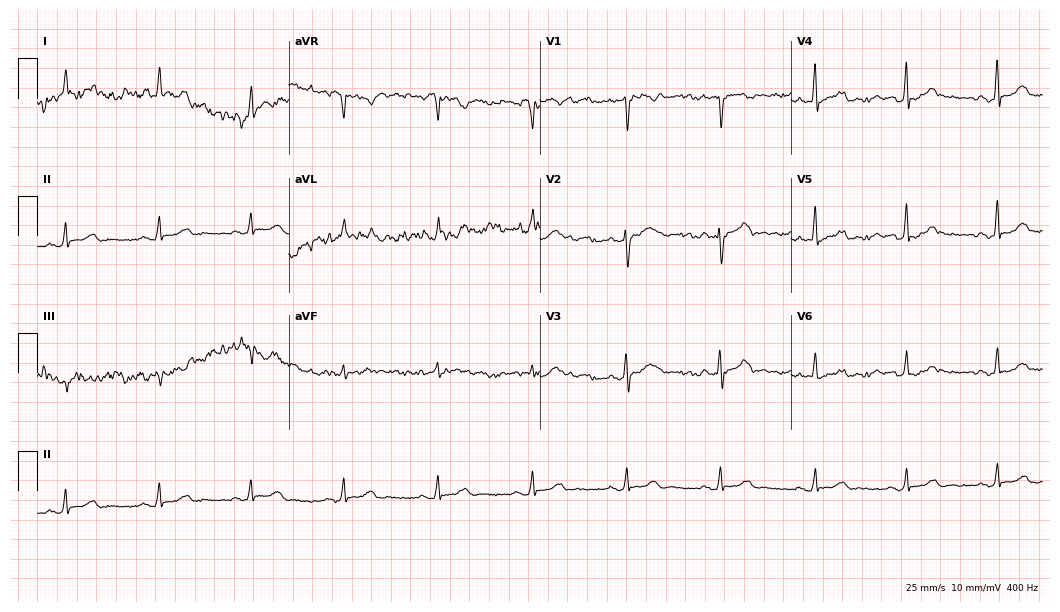
Standard 12-lead ECG recorded from a 37-year-old woman. None of these six findings is recorded: first-degree AV block, right bundle branch block, left bundle branch block, sinus bradycardia, atrial fibrillation, sinus tachycardia.